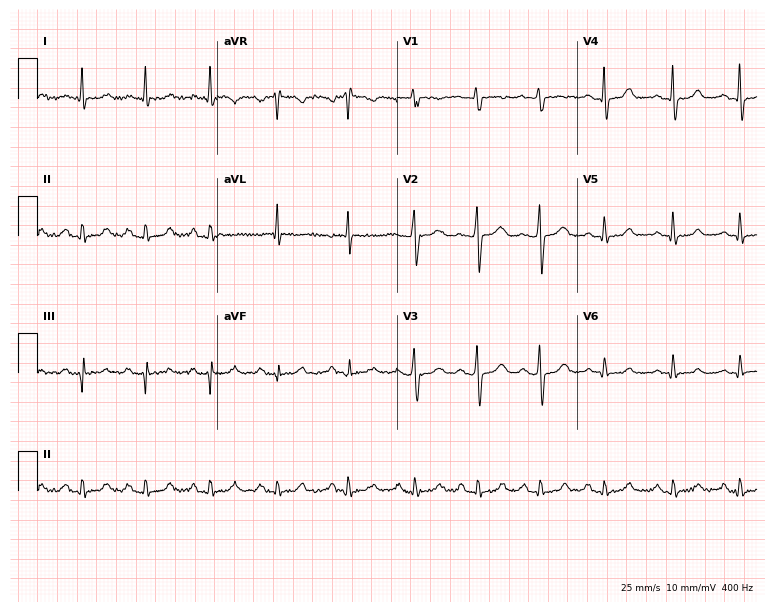
12-lead ECG from a woman, 45 years old (7.3-second recording at 400 Hz). No first-degree AV block, right bundle branch block, left bundle branch block, sinus bradycardia, atrial fibrillation or sinus tachycardia recorded for this tracing. Other findings, if any, are not listed.